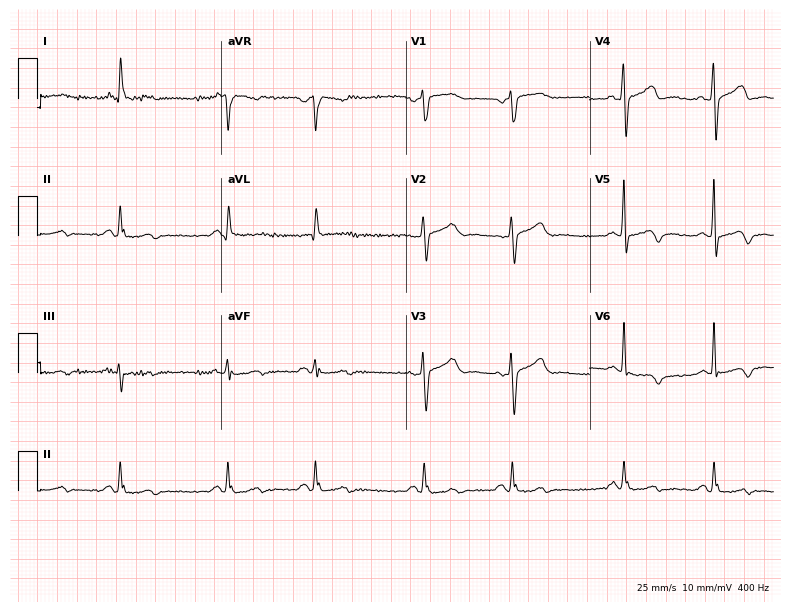
12-lead ECG from a female patient, 63 years old. No first-degree AV block, right bundle branch block (RBBB), left bundle branch block (LBBB), sinus bradycardia, atrial fibrillation (AF) or sinus tachycardia recorded for this tracing. Findings outside these six are not listed.